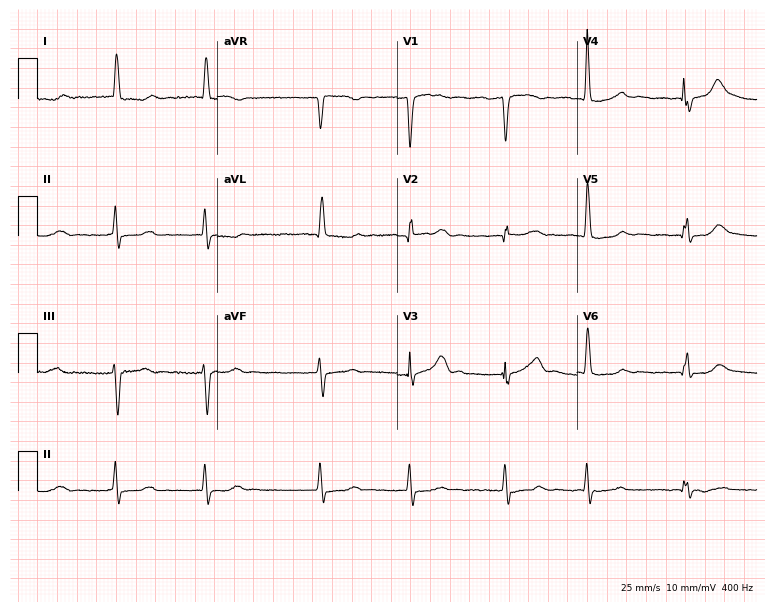
Resting 12-lead electrocardiogram. Patient: an 81-year-old woman. The tracing shows atrial fibrillation.